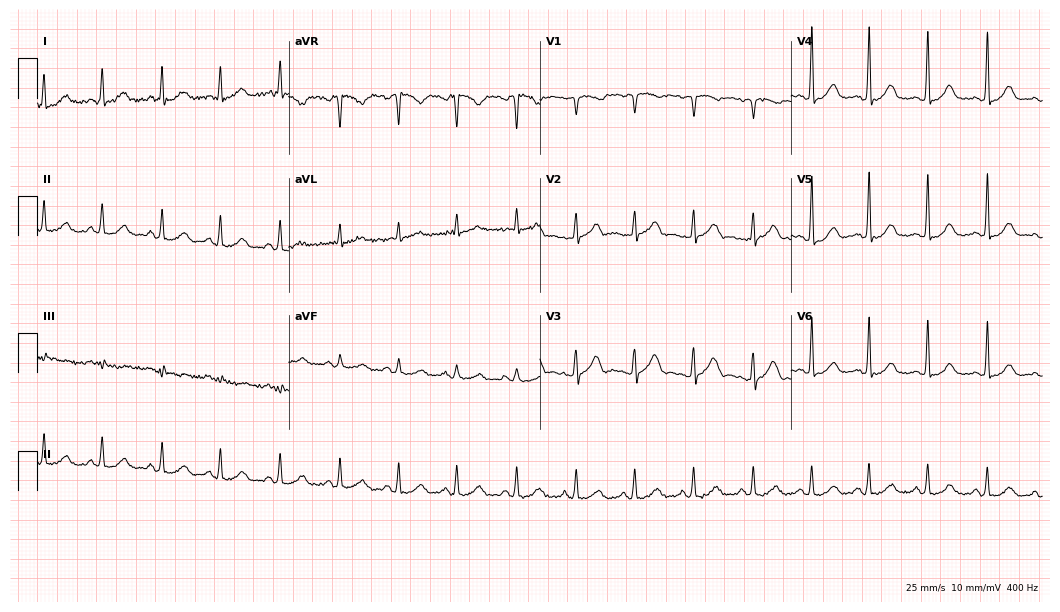
12-lead ECG from a 40-year-old female. No first-degree AV block, right bundle branch block, left bundle branch block, sinus bradycardia, atrial fibrillation or sinus tachycardia recorded for this tracing.